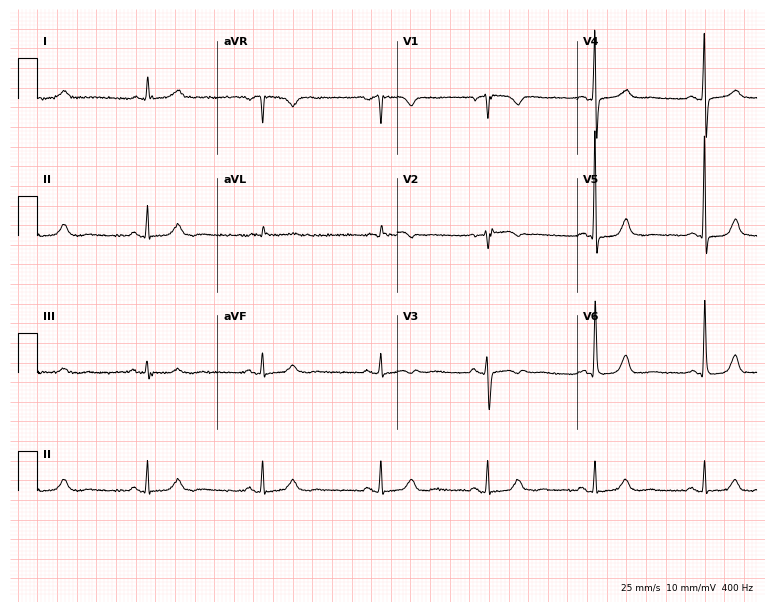
Standard 12-lead ECG recorded from a female, 63 years old. The tracing shows sinus bradycardia (a sinus rate of 50 beats per minute or less).